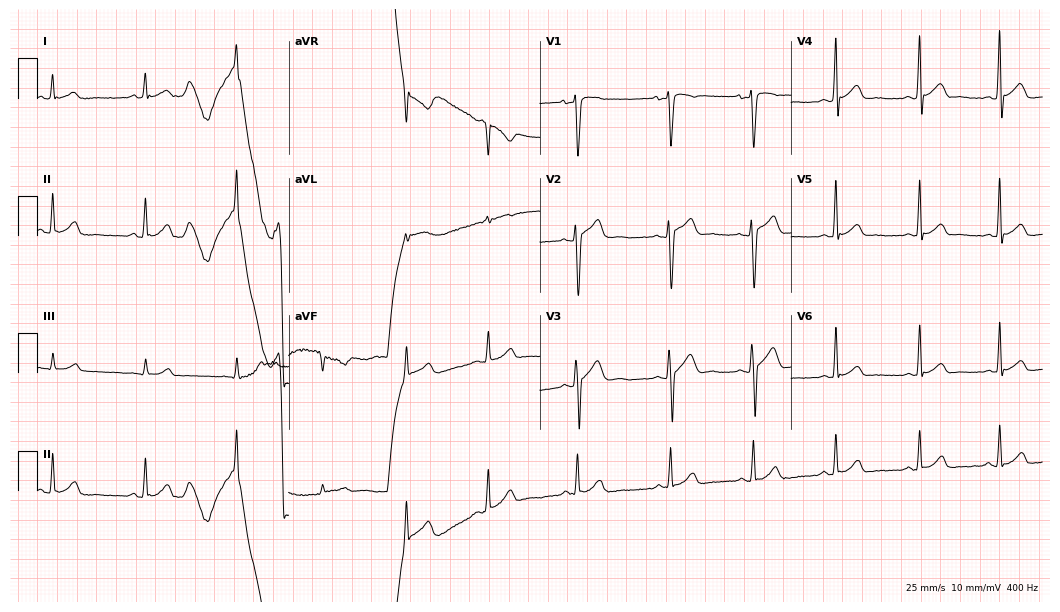
12-lead ECG from a male patient, 19 years old (10.2-second recording at 400 Hz). Recorded interpretation: within normal limits.